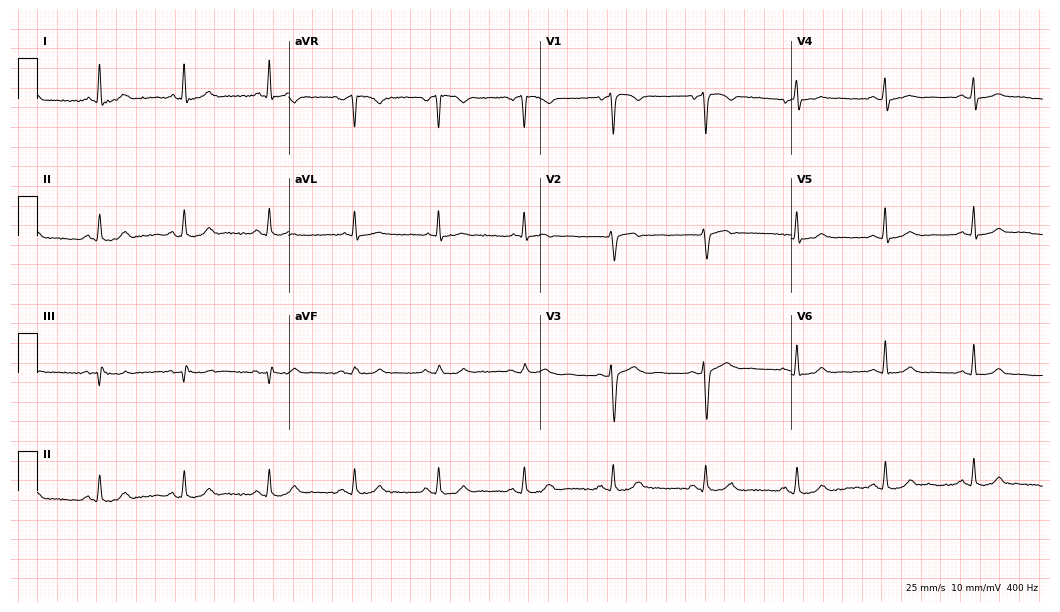
ECG (10.2-second recording at 400 Hz) — a male, 53 years old. Labelled as a normal ECG.